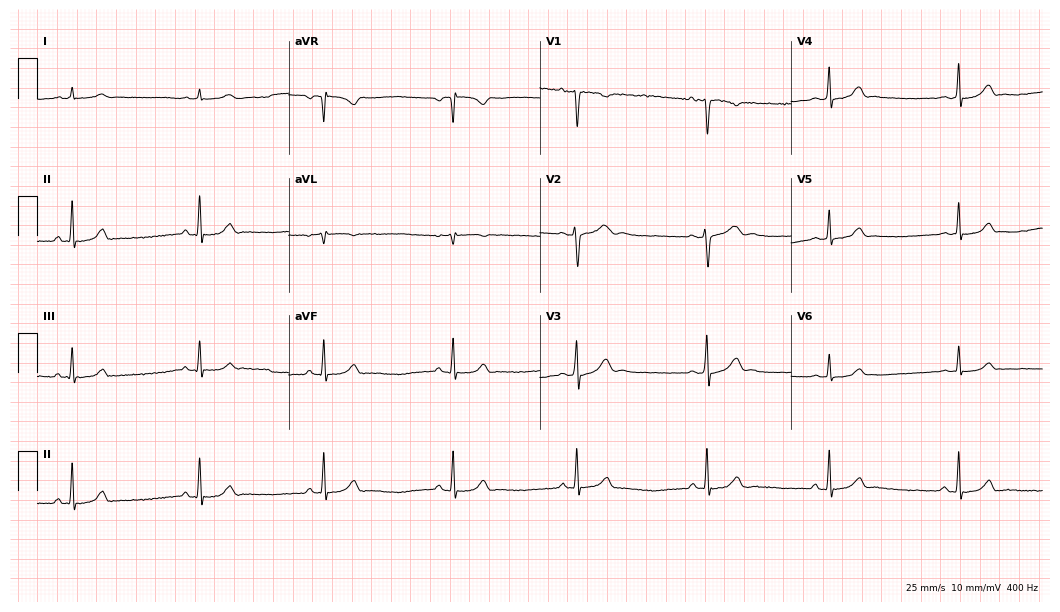
ECG — a female patient, 18 years old. Findings include sinus bradycardia (a sinus rate of 50 beats per minute or less).